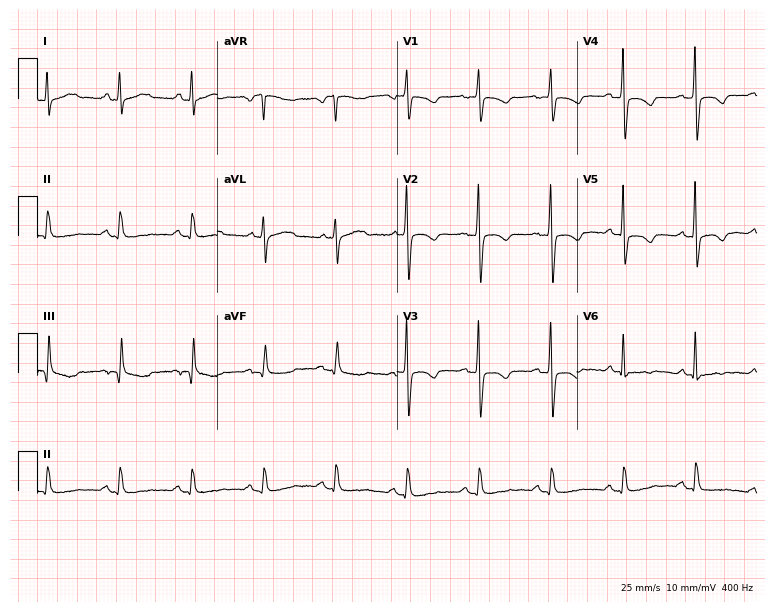
Standard 12-lead ECG recorded from a female patient, 64 years old (7.3-second recording at 400 Hz). None of these six findings is recorded: first-degree AV block, right bundle branch block, left bundle branch block, sinus bradycardia, atrial fibrillation, sinus tachycardia. Only these six findings were labelled.